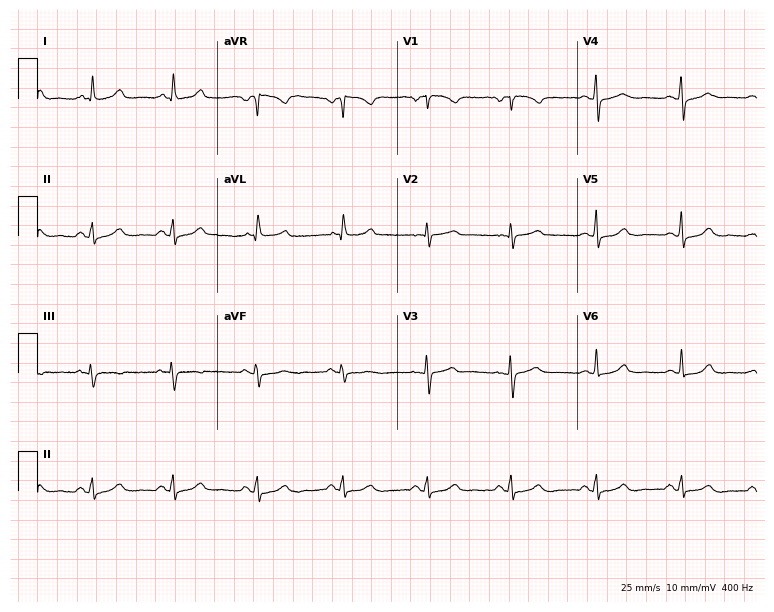
Resting 12-lead electrocardiogram (7.3-second recording at 400 Hz). Patient: a female, 56 years old. Read as a normal ECG.